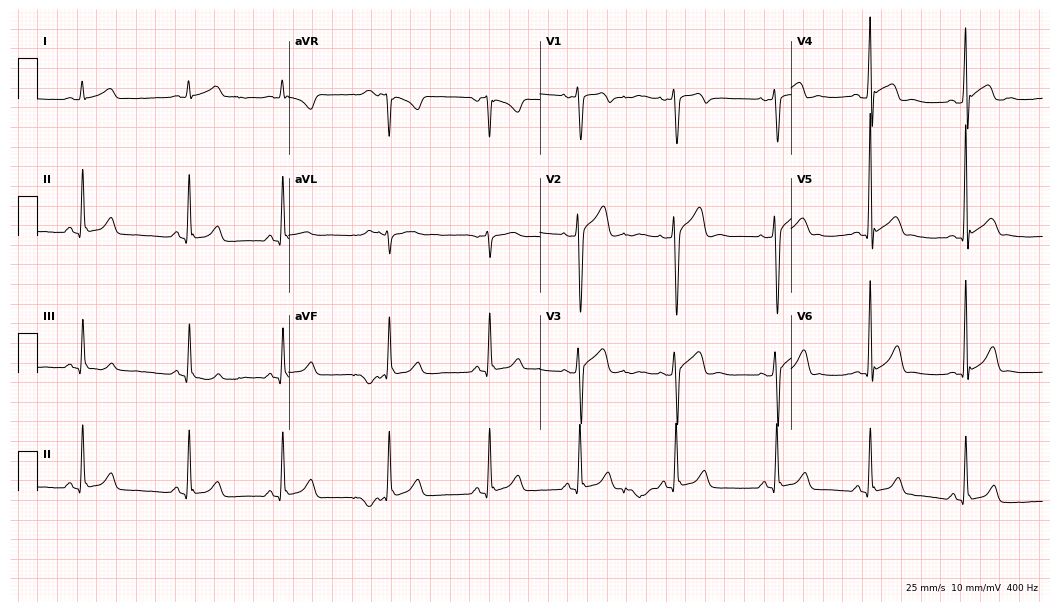
Standard 12-lead ECG recorded from a 20-year-old male (10.2-second recording at 400 Hz). Read as a normal ECG.